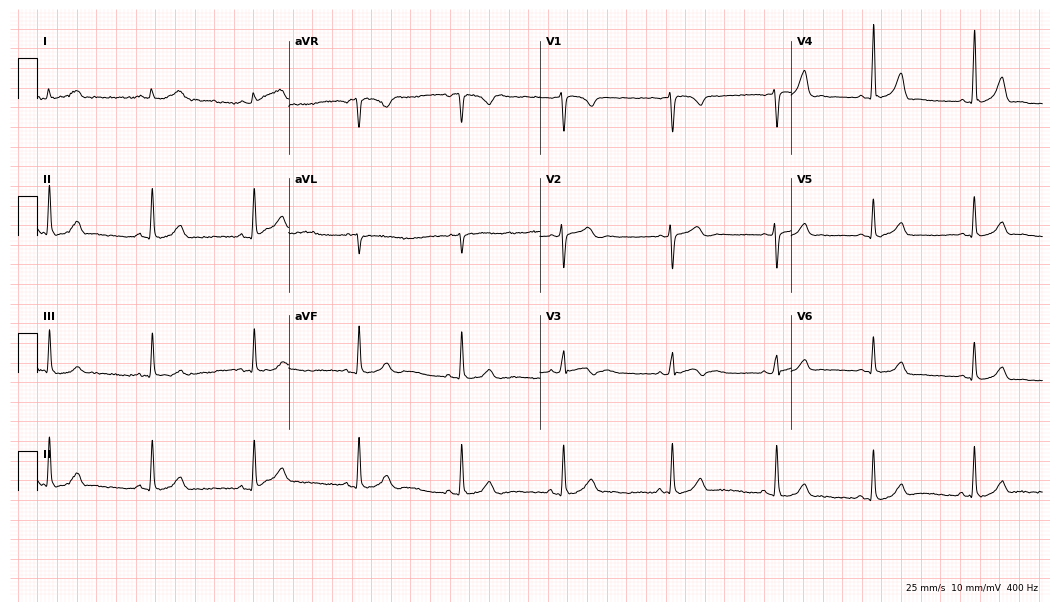
Electrocardiogram (10.2-second recording at 400 Hz), a 27-year-old woman. Overall reading on record: normal ECG.